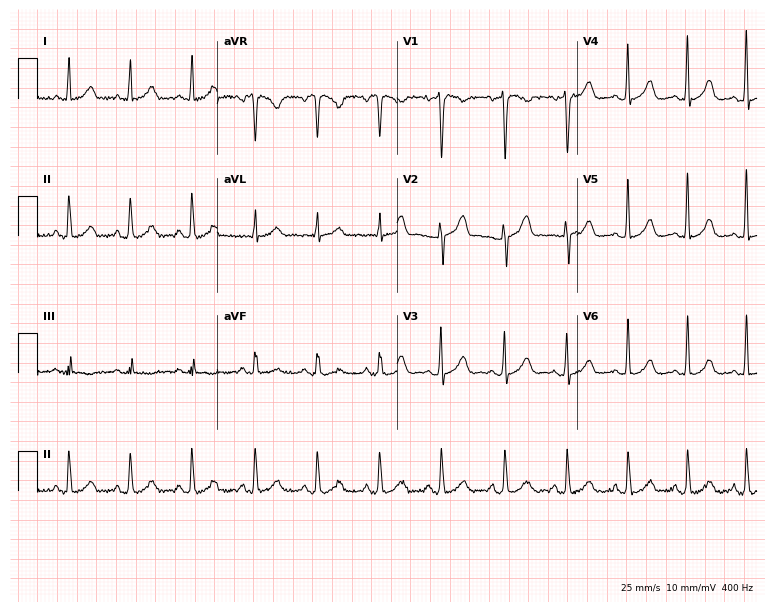
ECG (7.3-second recording at 400 Hz) — a female, 37 years old. Screened for six findings — first-degree AV block, right bundle branch block (RBBB), left bundle branch block (LBBB), sinus bradycardia, atrial fibrillation (AF), sinus tachycardia — none is recorded.